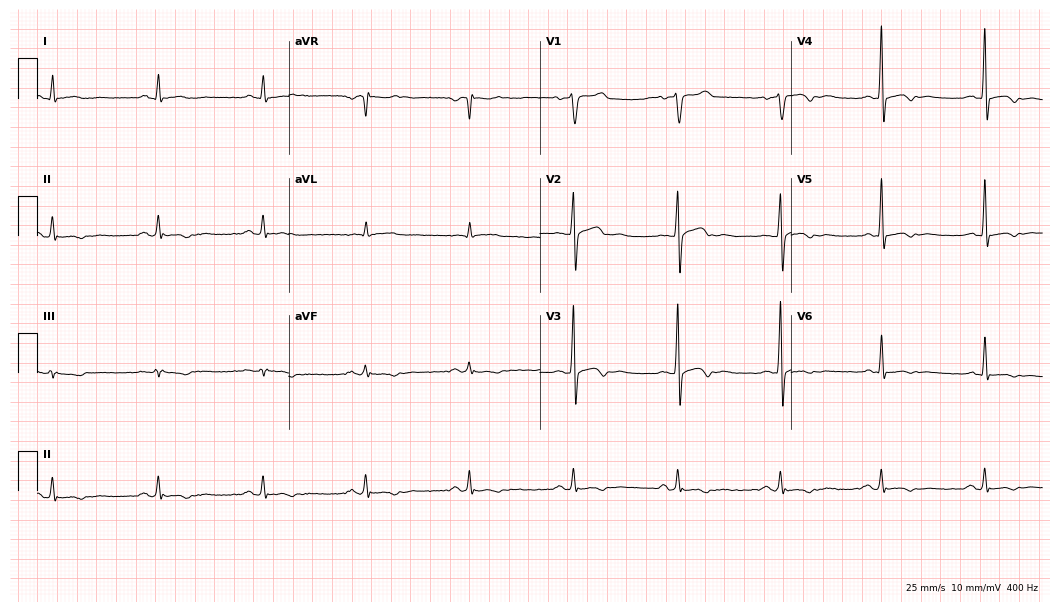
Electrocardiogram (10.2-second recording at 400 Hz), a man, 58 years old. Of the six screened findings (first-degree AV block, right bundle branch block, left bundle branch block, sinus bradycardia, atrial fibrillation, sinus tachycardia), none is recorded. Other findings, if any, are not listed.